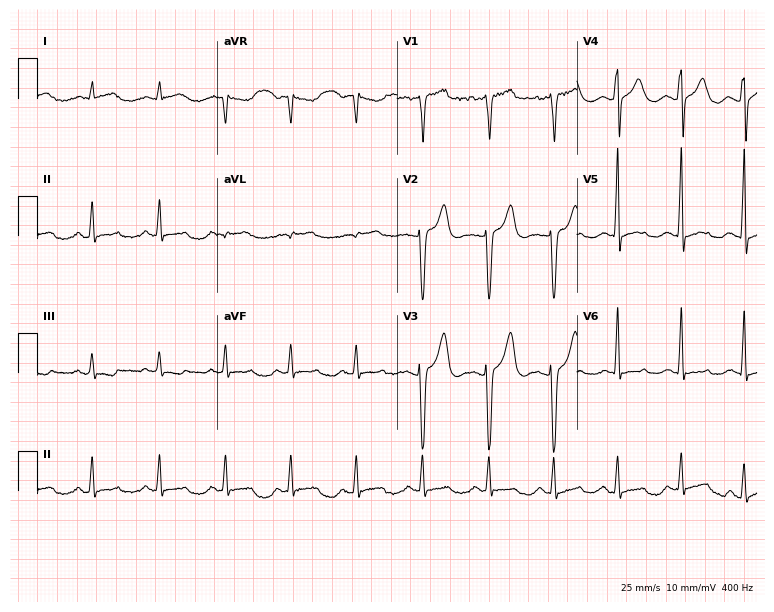
Standard 12-lead ECG recorded from a male patient, 42 years old (7.3-second recording at 400 Hz). None of these six findings is recorded: first-degree AV block, right bundle branch block (RBBB), left bundle branch block (LBBB), sinus bradycardia, atrial fibrillation (AF), sinus tachycardia.